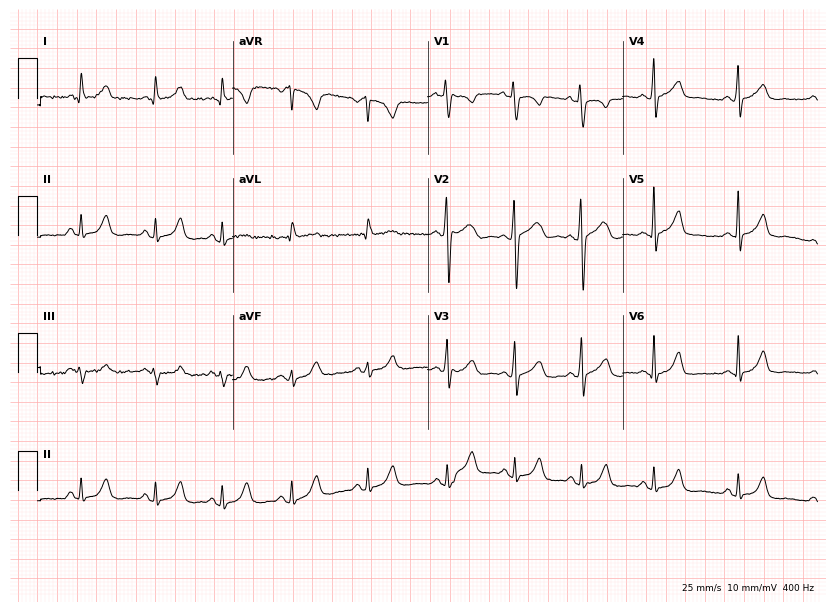
ECG (8-second recording at 400 Hz) — a woman, 20 years old. Labelled as a normal ECG.